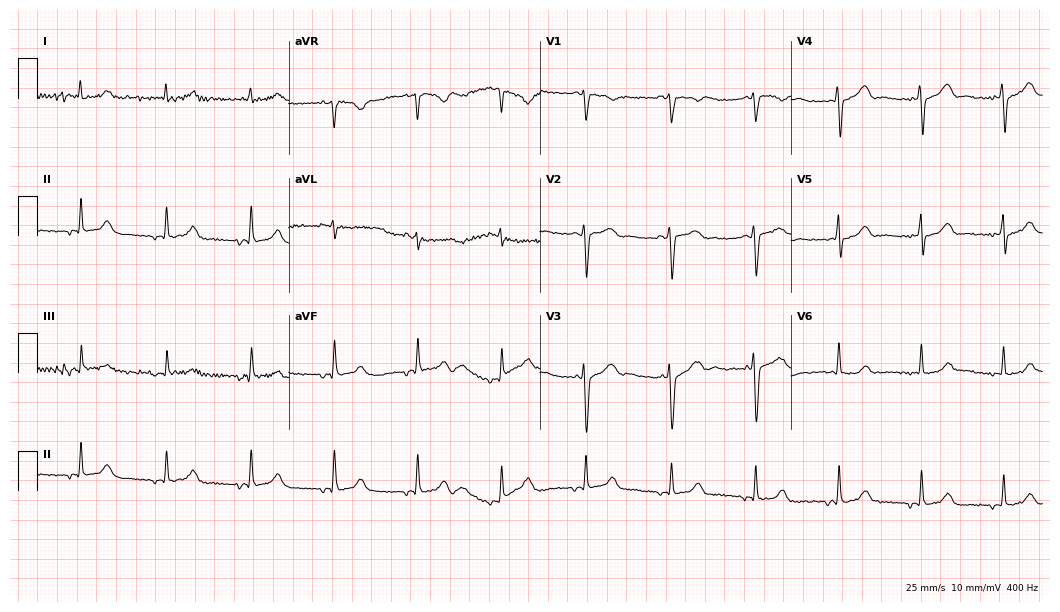
12-lead ECG from a 62-year-old female. No first-degree AV block, right bundle branch block, left bundle branch block, sinus bradycardia, atrial fibrillation or sinus tachycardia recorded for this tracing. Only these six findings were labelled.